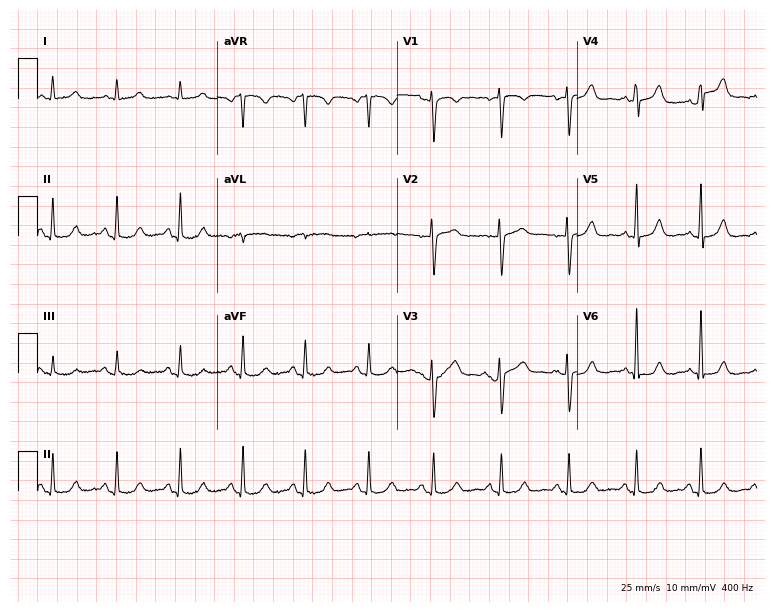
Electrocardiogram (7.3-second recording at 400 Hz), a 52-year-old woman. Overall reading on record: normal ECG.